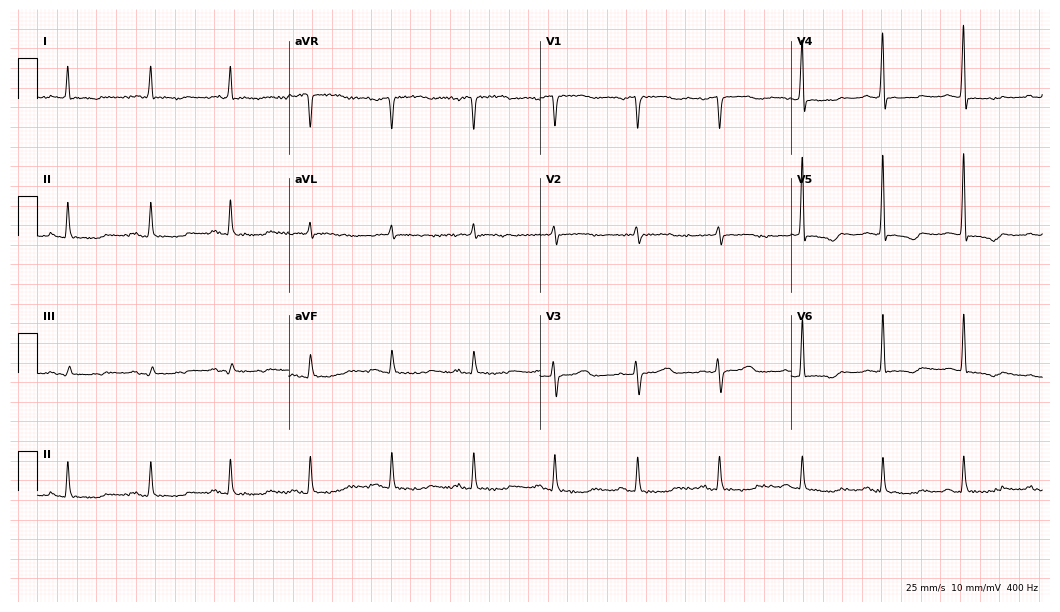
12-lead ECG from a 75-year-old woman. No first-degree AV block, right bundle branch block (RBBB), left bundle branch block (LBBB), sinus bradycardia, atrial fibrillation (AF) or sinus tachycardia recorded for this tracing. Other findings, if any, are not listed.